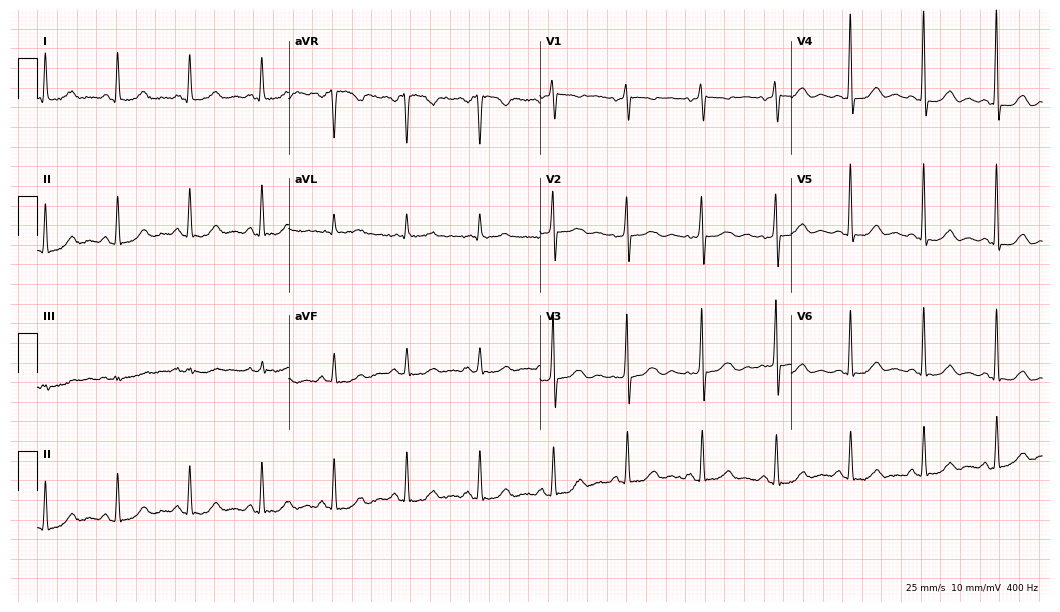
Standard 12-lead ECG recorded from a female patient, 68 years old. Read as a normal ECG.